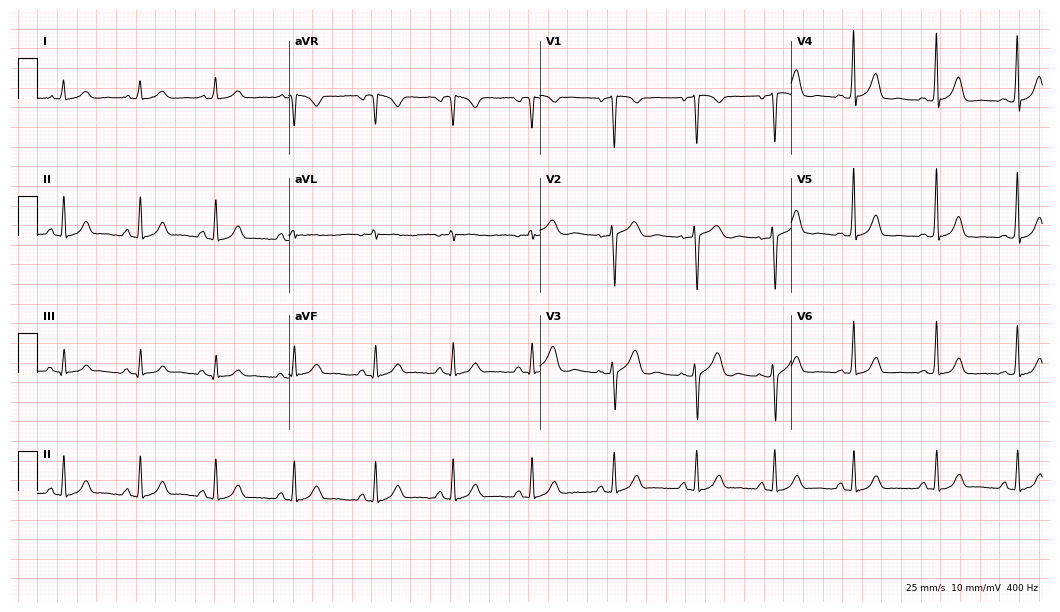
12-lead ECG from a woman, 39 years old (10.2-second recording at 400 Hz). Recorded interpretation: within normal limits.